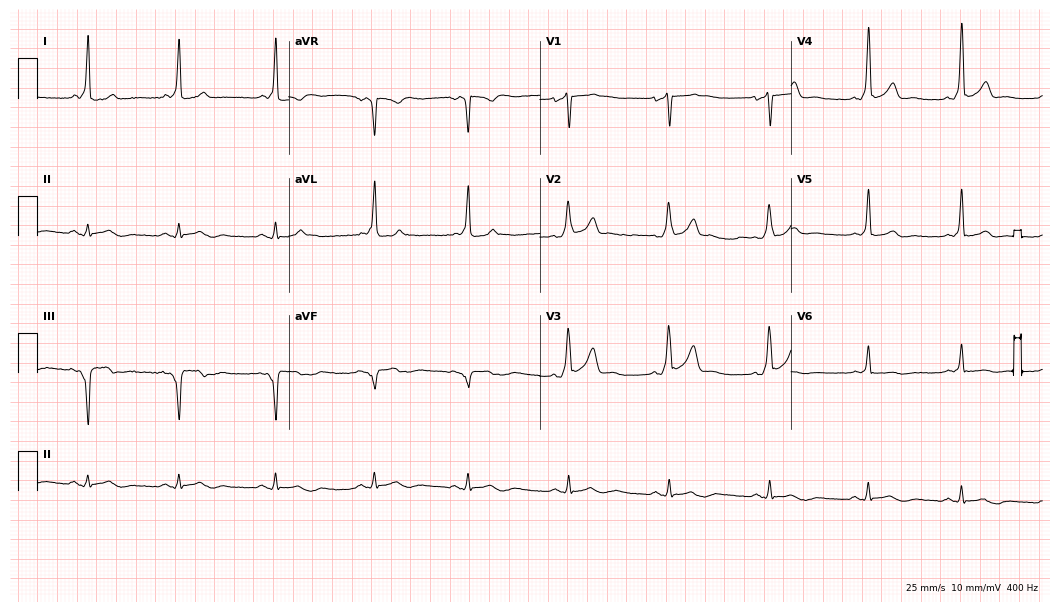
Resting 12-lead electrocardiogram. Patient: a male, 28 years old. None of these six findings is recorded: first-degree AV block, right bundle branch block, left bundle branch block, sinus bradycardia, atrial fibrillation, sinus tachycardia. Findings outside these six are not listed.